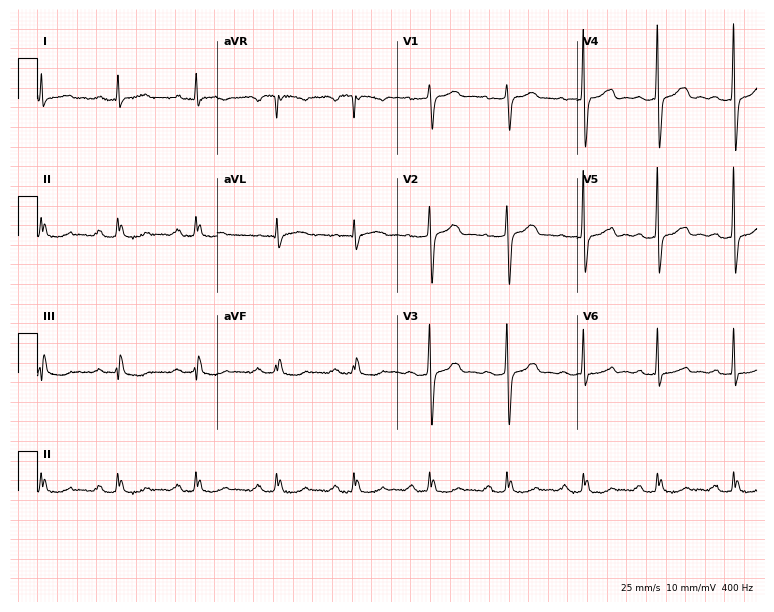
12-lead ECG from a female patient, 67 years old. Labelled as a normal ECG.